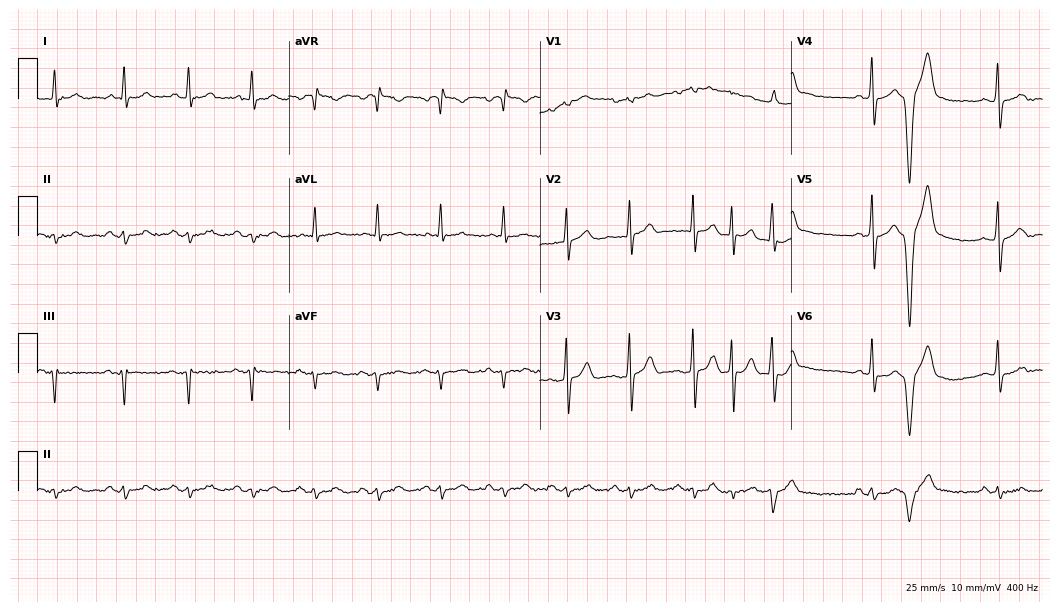
Electrocardiogram, a male, 76 years old. Of the six screened findings (first-degree AV block, right bundle branch block, left bundle branch block, sinus bradycardia, atrial fibrillation, sinus tachycardia), none is recorded.